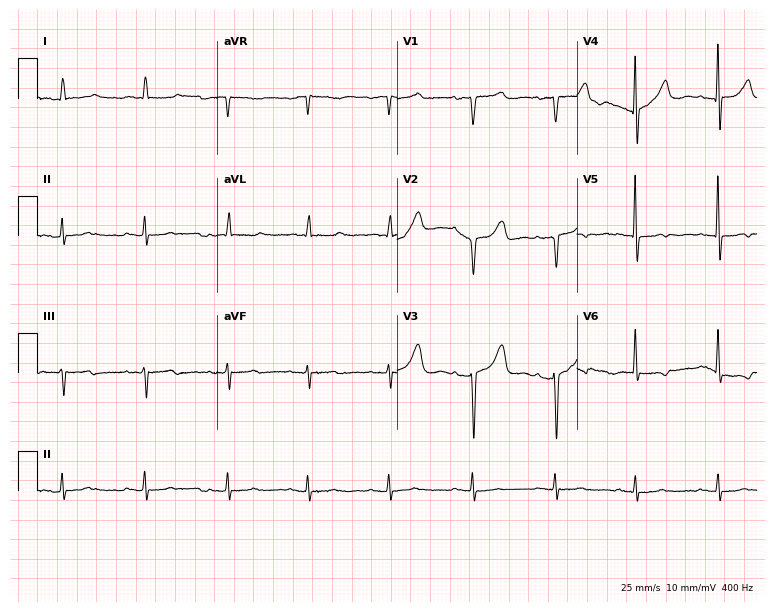
Electrocardiogram (7.3-second recording at 400 Hz), a 71-year-old woman. Of the six screened findings (first-degree AV block, right bundle branch block, left bundle branch block, sinus bradycardia, atrial fibrillation, sinus tachycardia), none is recorded.